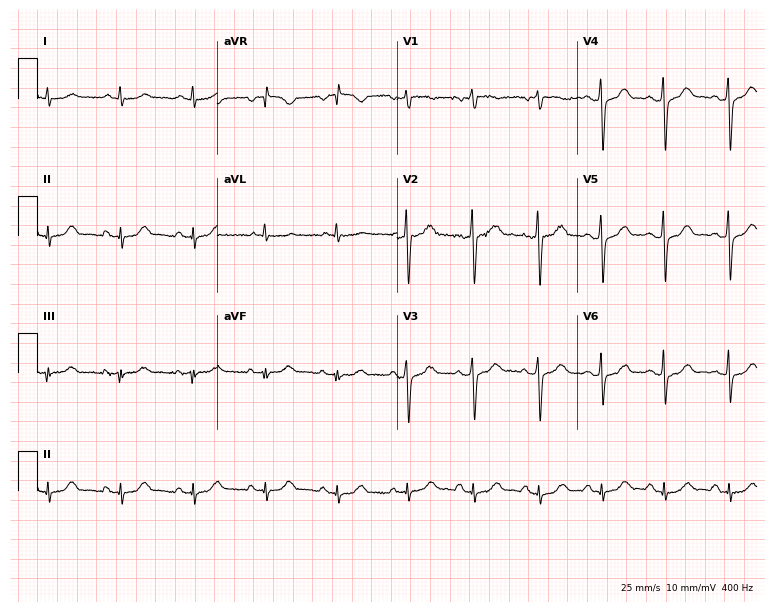
12-lead ECG from a 45-year-old man (7.3-second recording at 400 Hz). No first-degree AV block, right bundle branch block, left bundle branch block, sinus bradycardia, atrial fibrillation or sinus tachycardia recorded for this tracing.